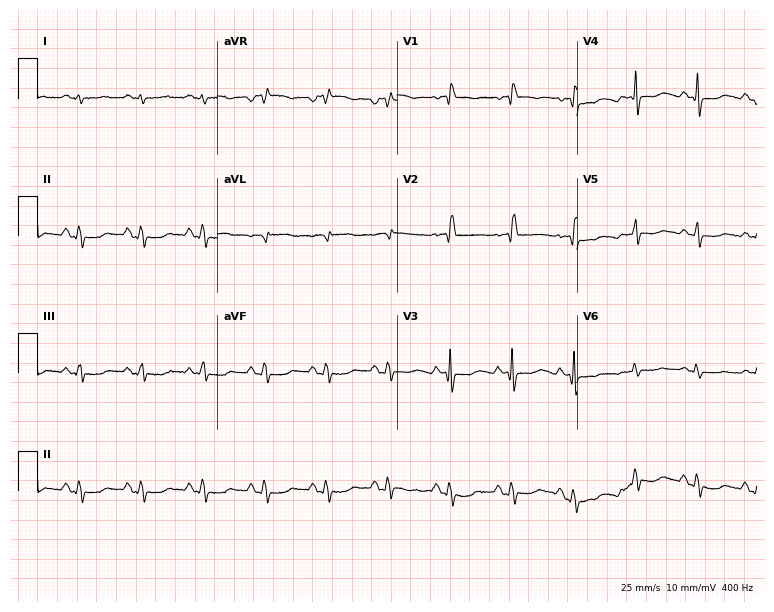
ECG (7.3-second recording at 400 Hz) — a female, 60 years old. Screened for six findings — first-degree AV block, right bundle branch block, left bundle branch block, sinus bradycardia, atrial fibrillation, sinus tachycardia — none is recorded. Findings outside these six are not listed.